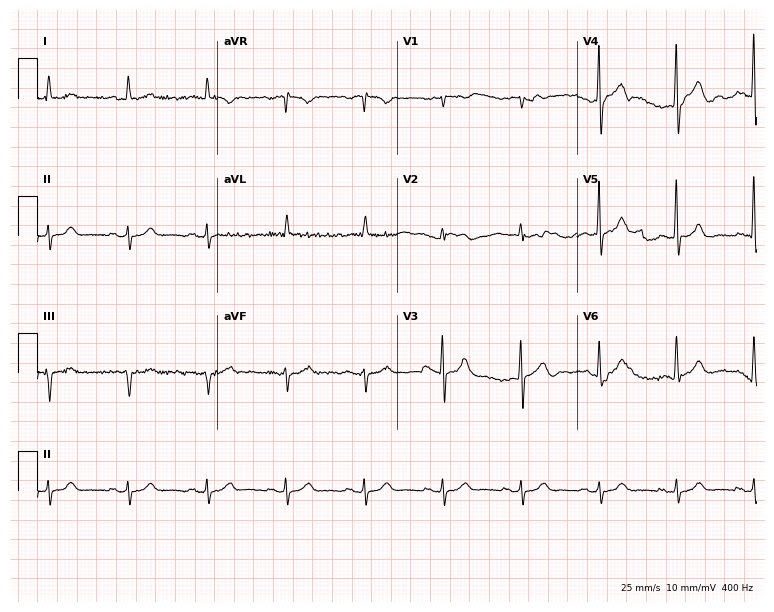
Resting 12-lead electrocardiogram. Patient: a 77-year-old male. Read as a normal ECG.